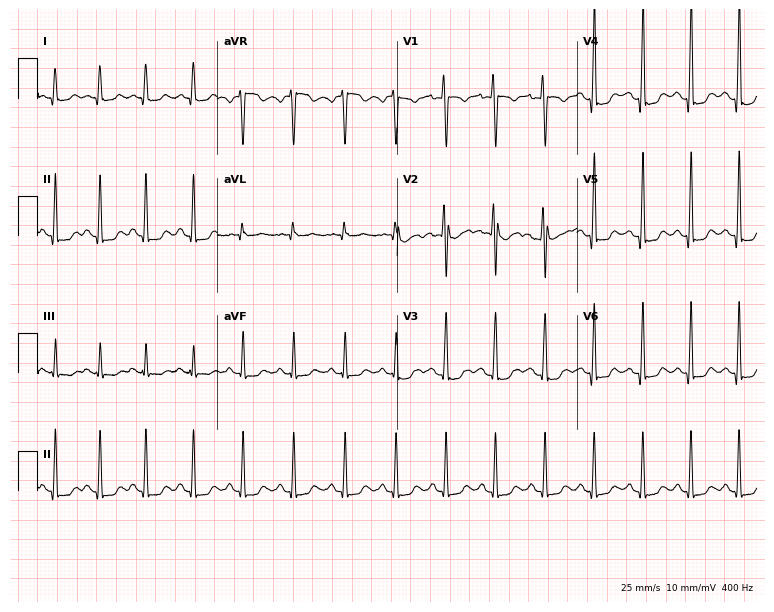
Standard 12-lead ECG recorded from a female patient, 21 years old (7.3-second recording at 400 Hz). The tracing shows sinus tachycardia (a sinus rate of 100 beats per minute or more).